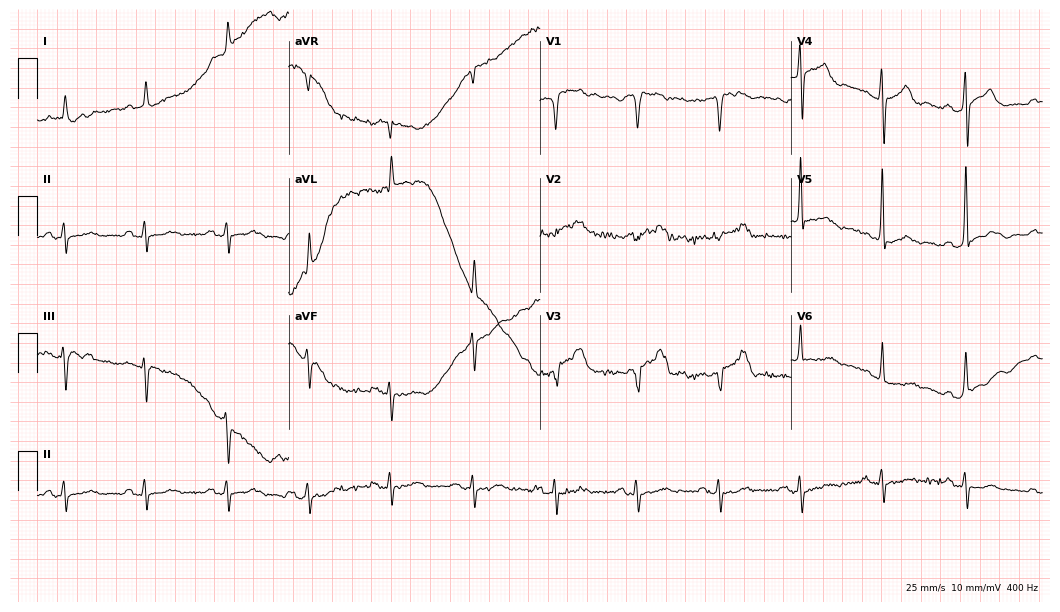
12-lead ECG from an 83-year-old male patient. No first-degree AV block, right bundle branch block, left bundle branch block, sinus bradycardia, atrial fibrillation or sinus tachycardia recorded for this tracing. Other findings, if any, are not listed.